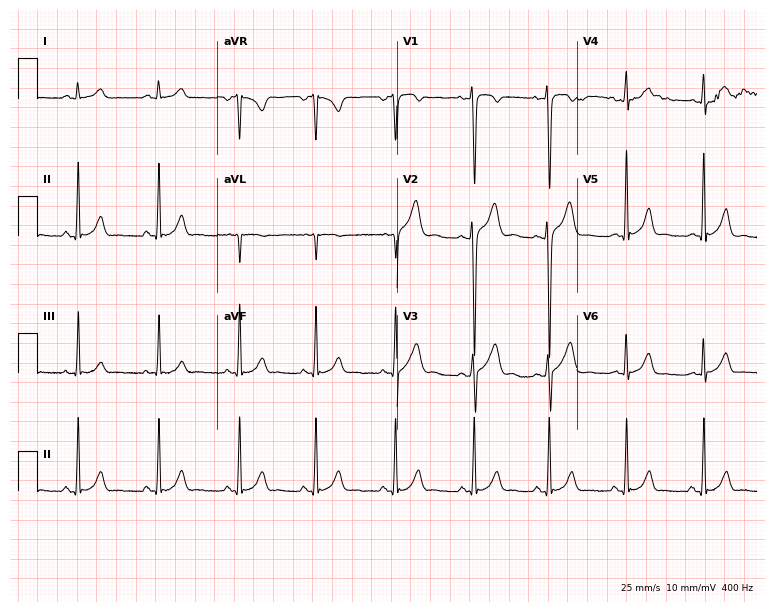
Electrocardiogram, an 18-year-old male. Overall reading on record: normal ECG.